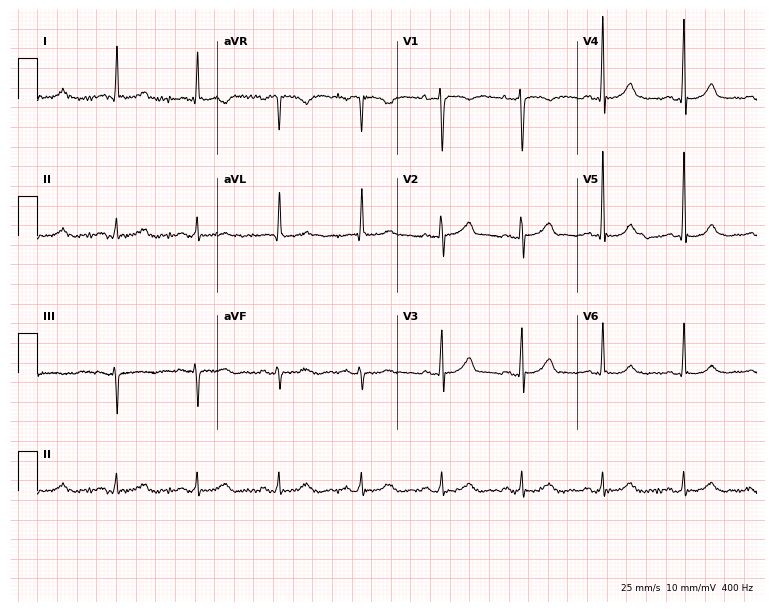
ECG — a female, 66 years old. Screened for six findings — first-degree AV block, right bundle branch block, left bundle branch block, sinus bradycardia, atrial fibrillation, sinus tachycardia — none is recorded.